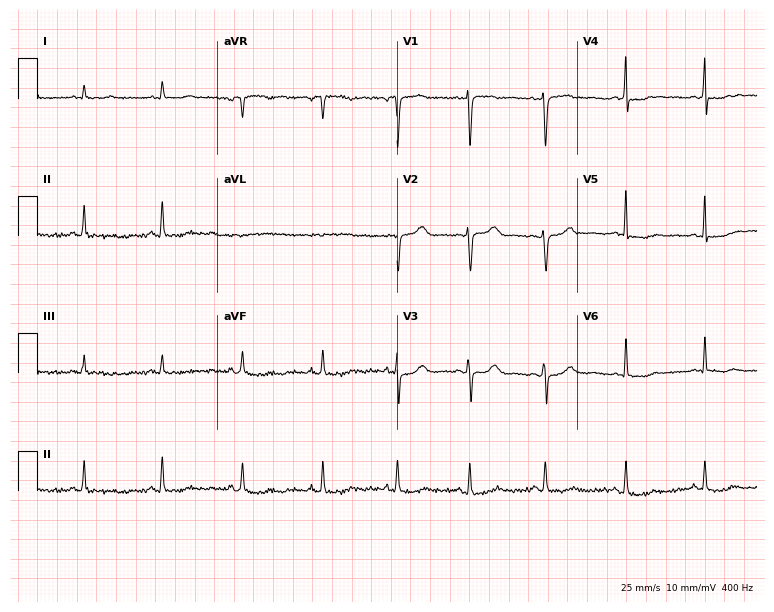
12-lead ECG from a 43-year-old female patient. Screened for six findings — first-degree AV block, right bundle branch block, left bundle branch block, sinus bradycardia, atrial fibrillation, sinus tachycardia — none is recorded.